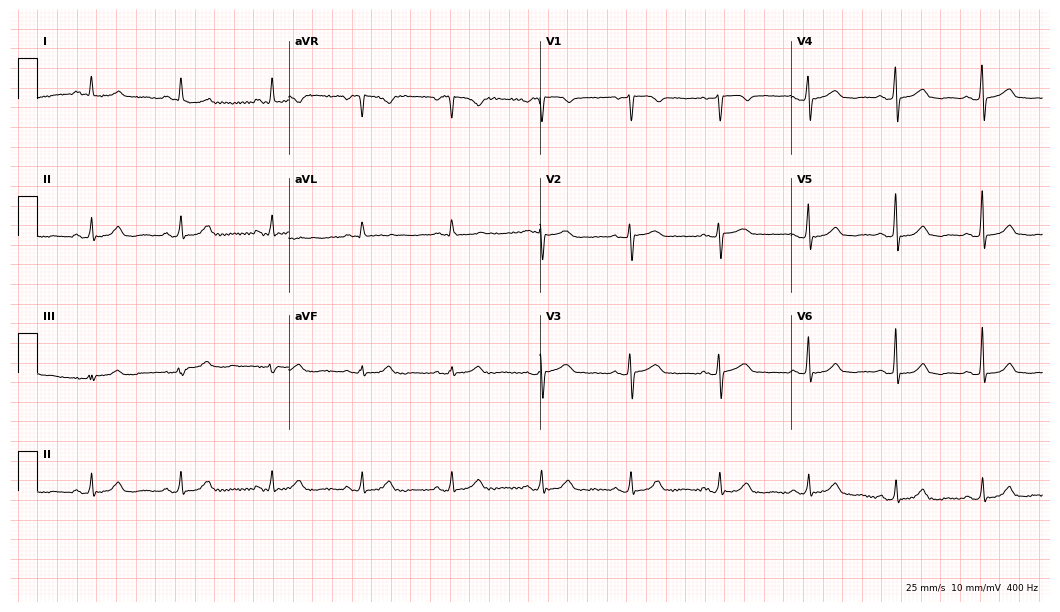
Electrocardiogram (10.2-second recording at 400 Hz), a 56-year-old female patient. Overall reading on record: normal ECG.